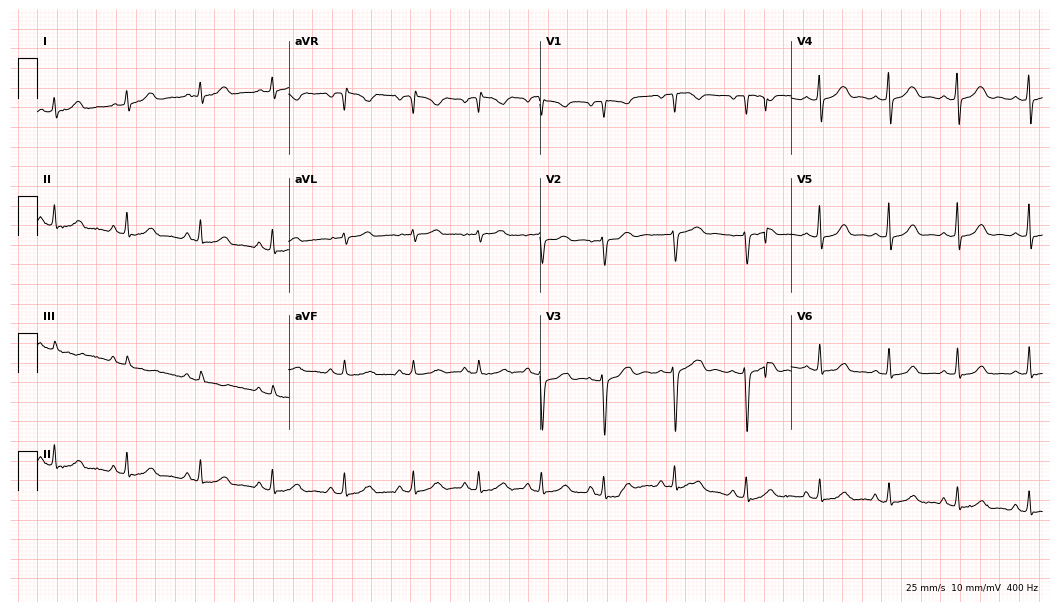
Electrocardiogram, a woman, 30 years old. Overall reading on record: normal ECG.